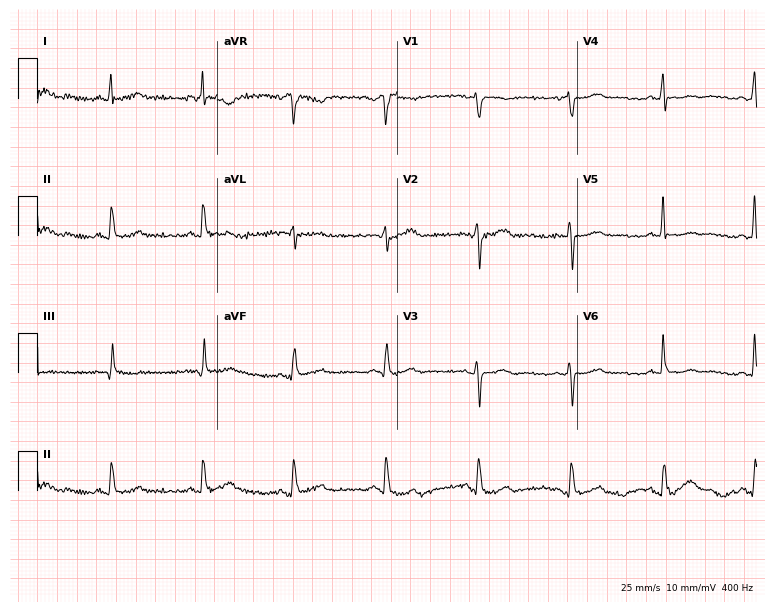
ECG — a female patient, 54 years old. Screened for six findings — first-degree AV block, right bundle branch block, left bundle branch block, sinus bradycardia, atrial fibrillation, sinus tachycardia — none is recorded.